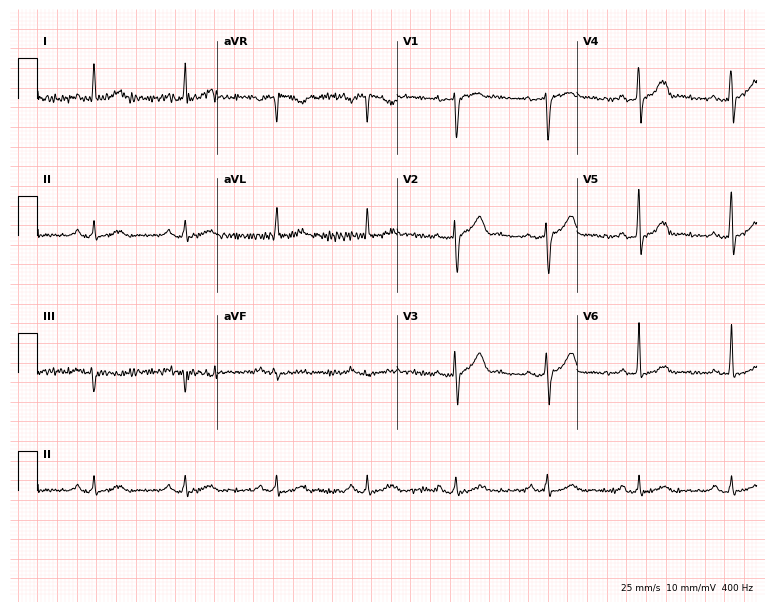
Electrocardiogram (7.3-second recording at 400 Hz), a 43-year-old female patient. Of the six screened findings (first-degree AV block, right bundle branch block, left bundle branch block, sinus bradycardia, atrial fibrillation, sinus tachycardia), none is recorded. Findings outside these six are not listed.